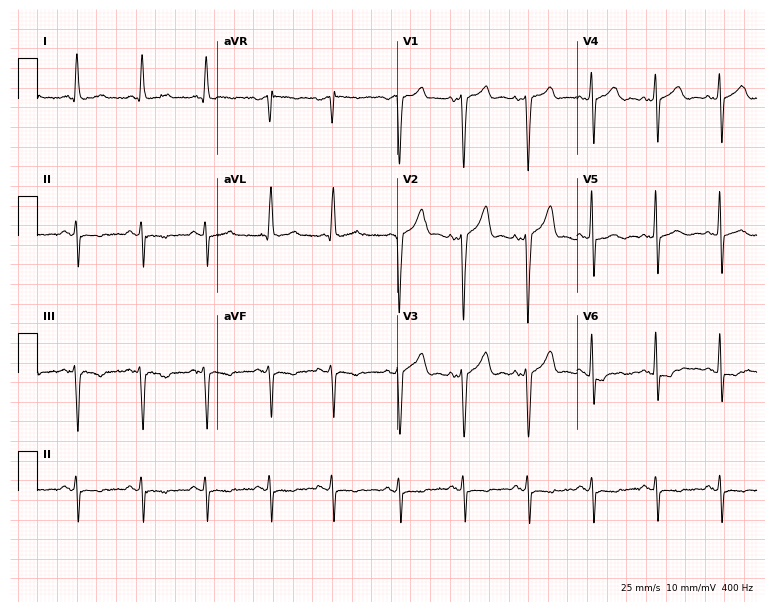
Standard 12-lead ECG recorded from a 72-year-old man. None of these six findings is recorded: first-degree AV block, right bundle branch block, left bundle branch block, sinus bradycardia, atrial fibrillation, sinus tachycardia.